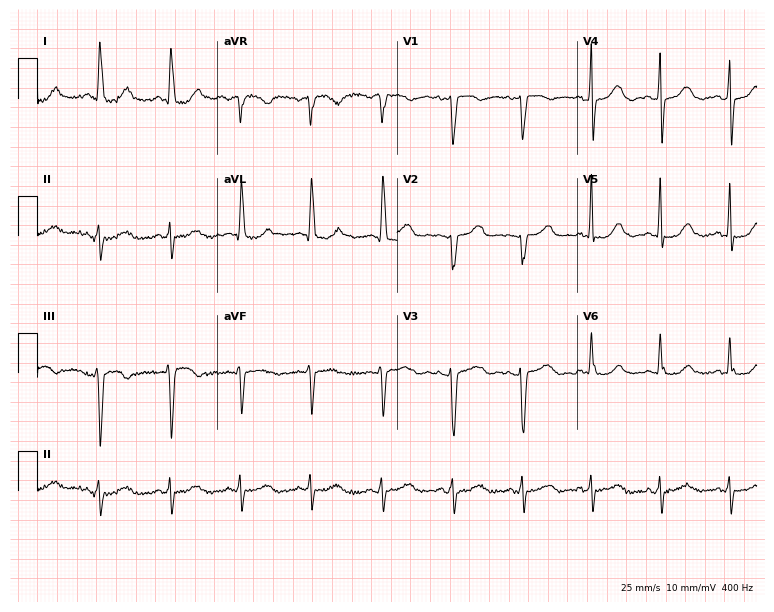
Electrocardiogram (7.3-second recording at 400 Hz), a 55-year-old female patient. Of the six screened findings (first-degree AV block, right bundle branch block, left bundle branch block, sinus bradycardia, atrial fibrillation, sinus tachycardia), none is recorded.